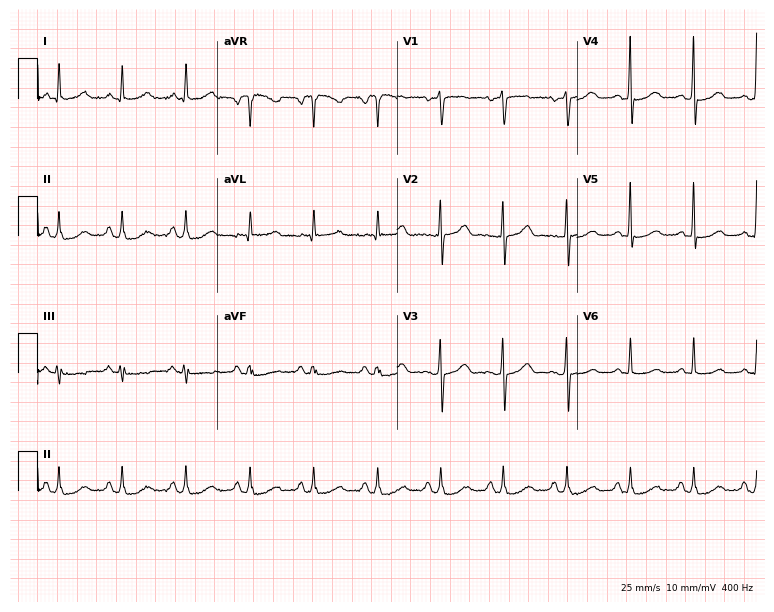
Standard 12-lead ECG recorded from a woman, 60 years old (7.3-second recording at 400 Hz). None of these six findings is recorded: first-degree AV block, right bundle branch block, left bundle branch block, sinus bradycardia, atrial fibrillation, sinus tachycardia.